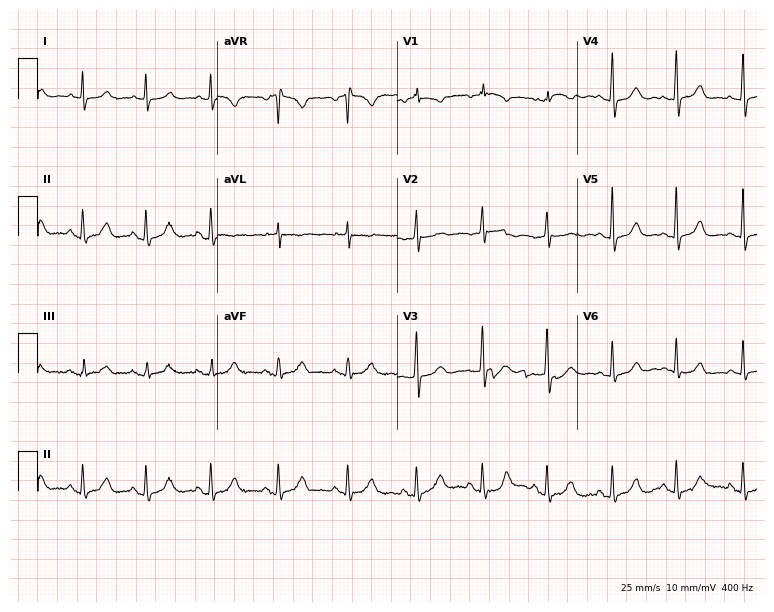
Resting 12-lead electrocardiogram (7.3-second recording at 400 Hz). Patient: a female, 63 years old. Read as a normal ECG.